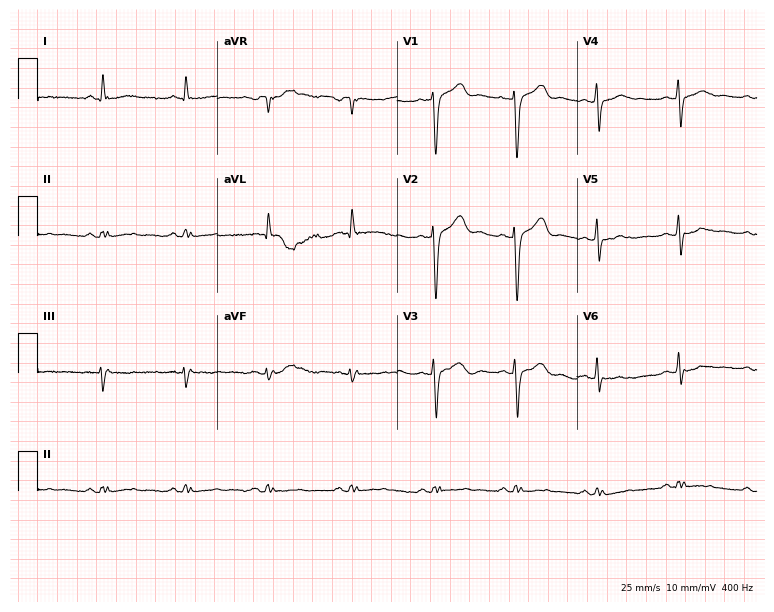
Electrocardiogram (7.3-second recording at 400 Hz), a 59-year-old female patient. Of the six screened findings (first-degree AV block, right bundle branch block, left bundle branch block, sinus bradycardia, atrial fibrillation, sinus tachycardia), none is recorded. Findings outside these six are not listed.